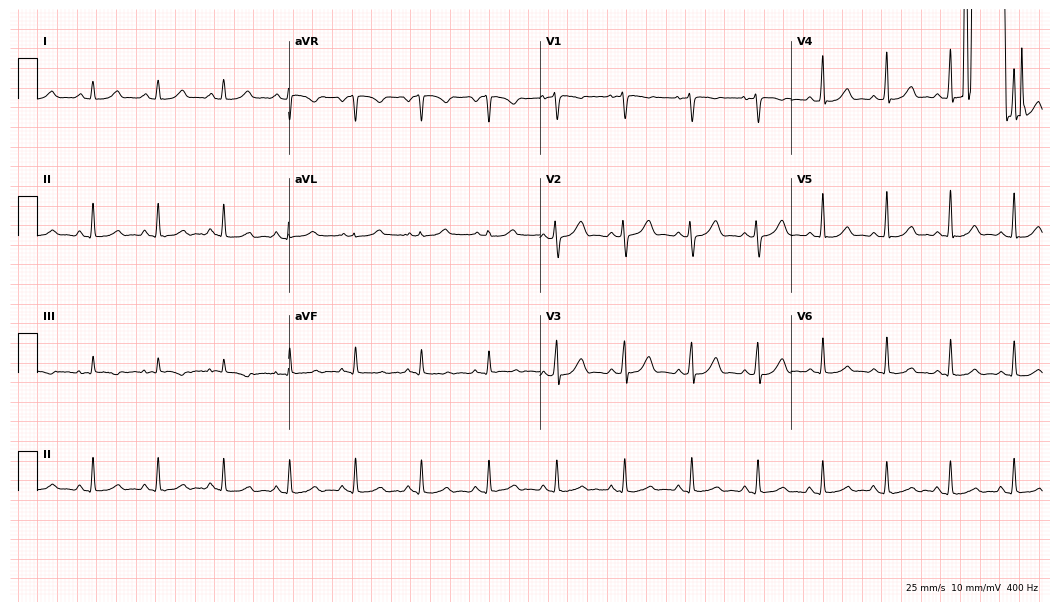
12-lead ECG from a 25-year-old female. Screened for six findings — first-degree AV block, right bundle branch block, left bundle branch block, sinus bradycardia, atrial fibrillation, sinus tachycardia — none is recorded.